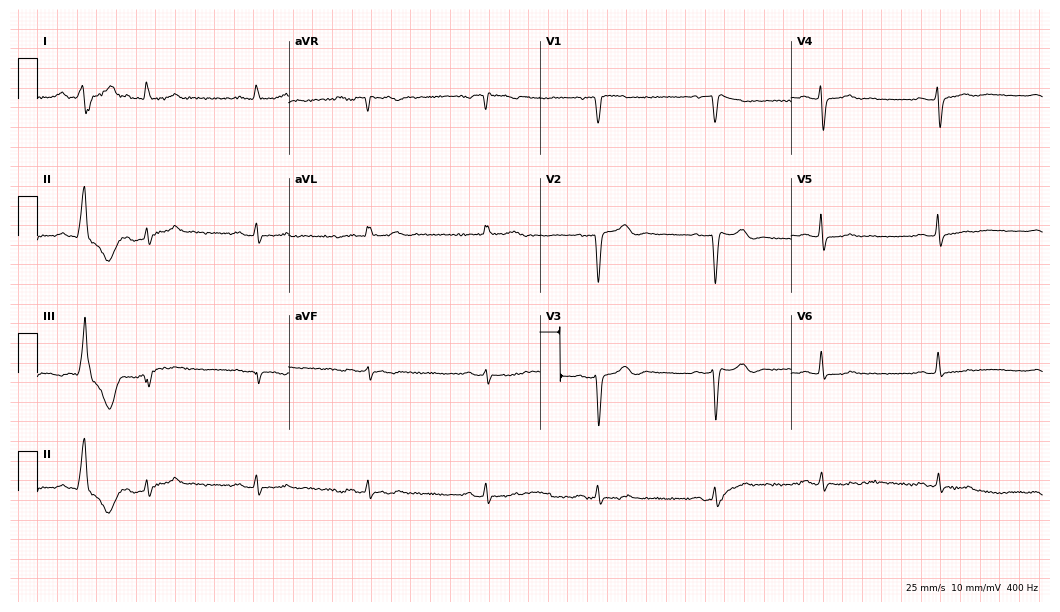
12-lead ECG from a female, 50 years old (10.2-second recording at 400 Hz). No first-degree AV block, right bundle branch block, left bundle branch block, sinus bradycardia, atrial fibrillation or sinus tachycardia recorded for this tracing.